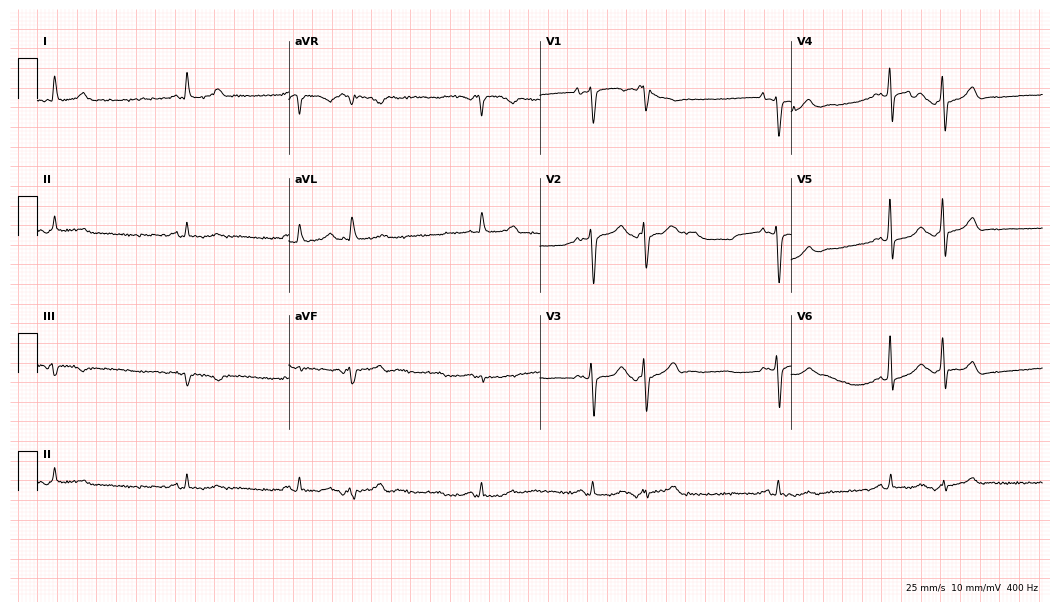
12-lead ECG from a male, 75 years old. Screened for six findings — first-degree AV block, right bundle branch block, left bundle branch block, sinus bradycardia, atrial fibrillation, sinus tachycardia — none is recorded.